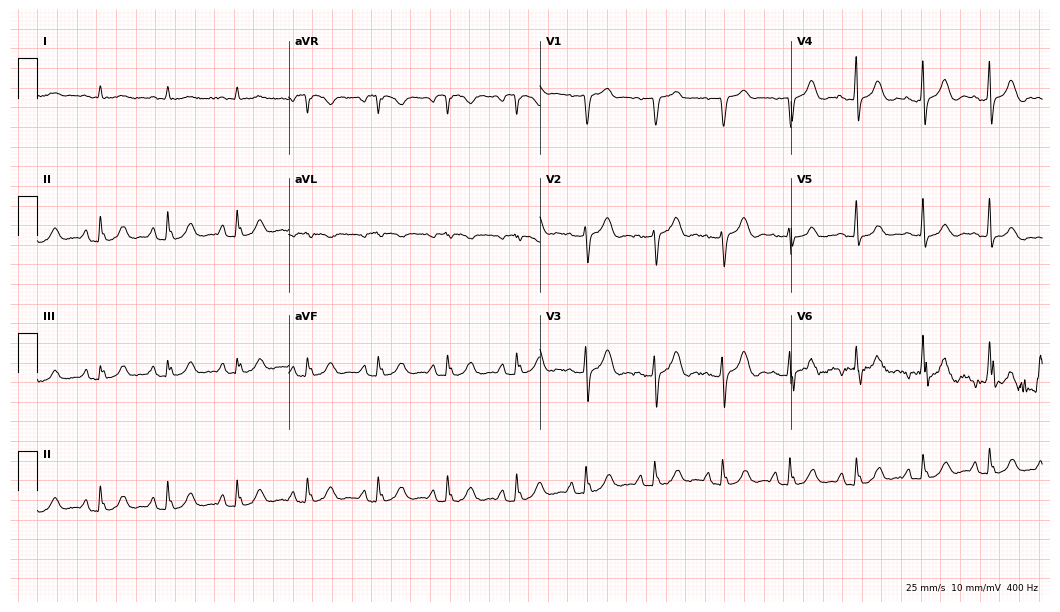
ECG — a 74-year-old male patient. Labelled as a normal ECG.